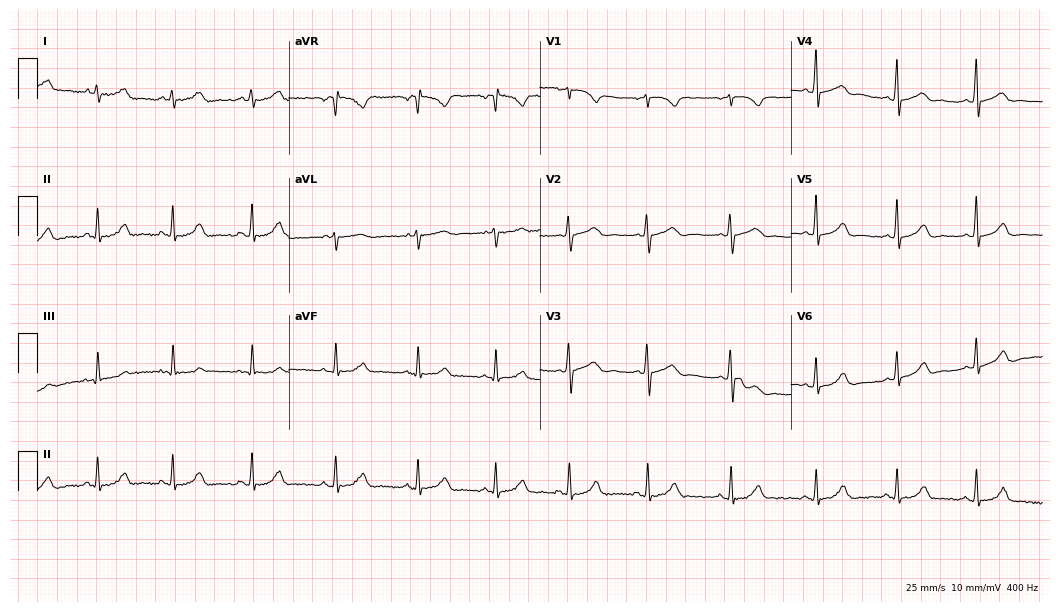
12-lead ECG from a 23-year-old woman. Recorded interpretation: within normal limits.